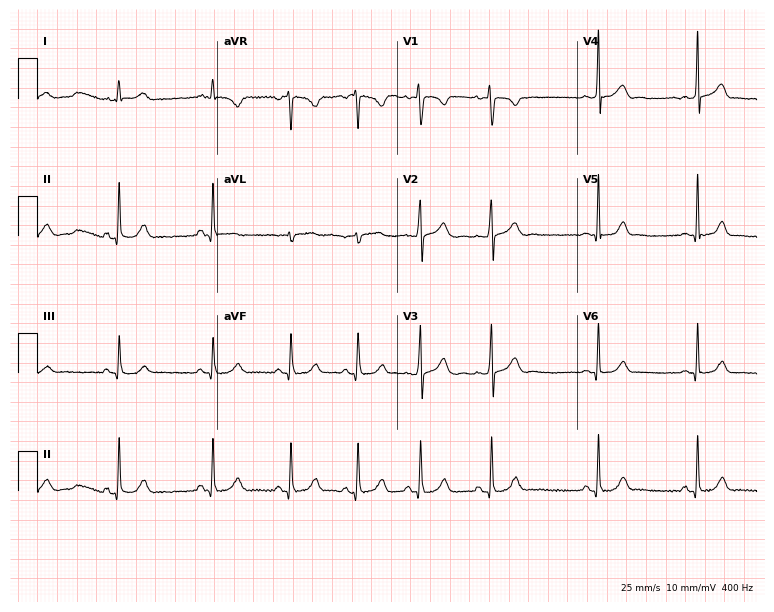
Resting 12-lead electrocardiogram (7.3-second recording at 400 Hz). Patient: an 18-year-old female. None of these six findings is recorded: first-degree AV block, right bundle branch block, left bundle branch block, sinus bradycardia, atrial fibrillation, sinus tachycardia.